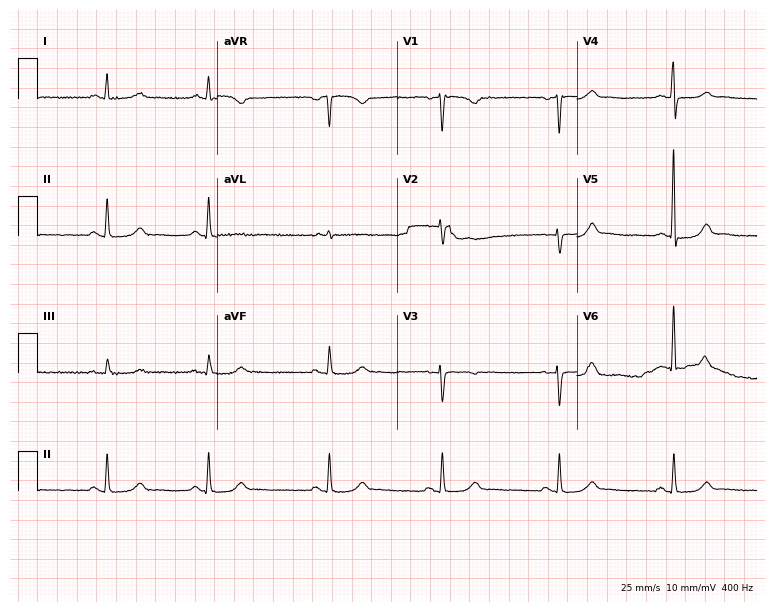
12-lead ECG from a female, 48 years old (7.3-second recording at 400 Hz). No first-degree AV block, right bundle branch block, left bundle branch block, sinus bradycardia, atrial fibrillation or sinus tachycardia recorded for this tracing.